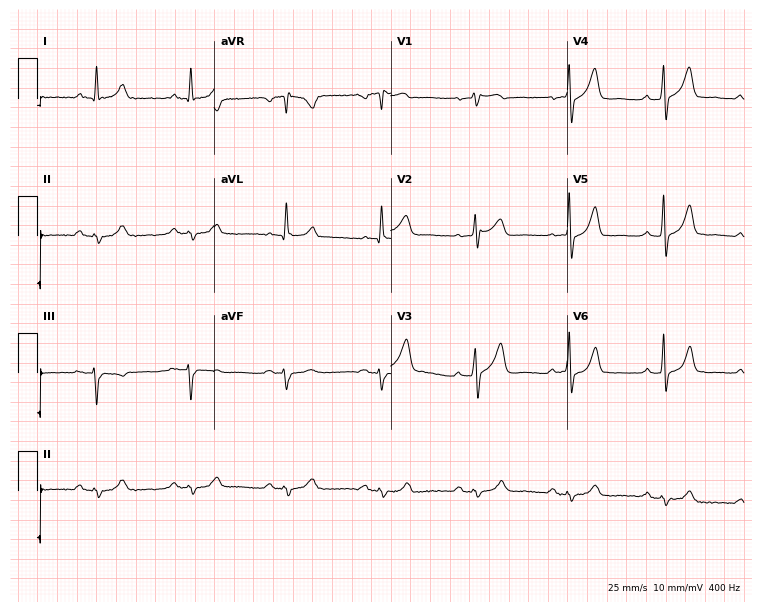
12-lead ECG from a 69-year-old man. Screened for six findings — first-degree AV block, right bundle branch block (RBBB), left bundle branch block (LBBB), sinus bradycardia, atrial fibrillation (AF), sinus tachycardia — none is recorded.